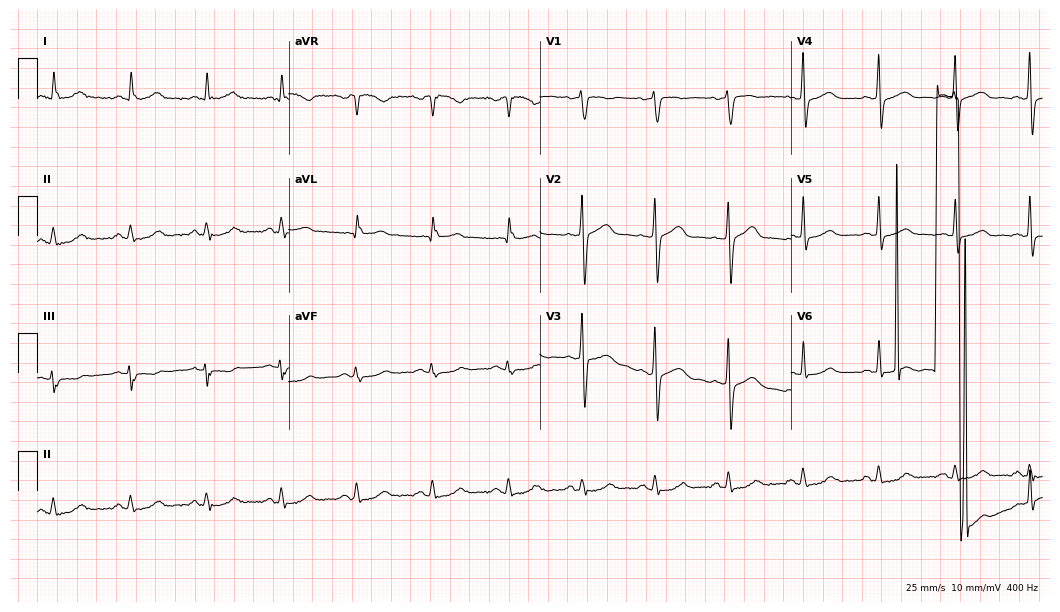
Standard 12-lead ECG recorded from a 60-year-old male patient (10.2-second recording at 400 Hz). None of these six findings is recorded: first-degree AV block, right bundle branch block, left bundle branch block, sinus bradycardia, atrial fibrillation, sinus tachycardia.